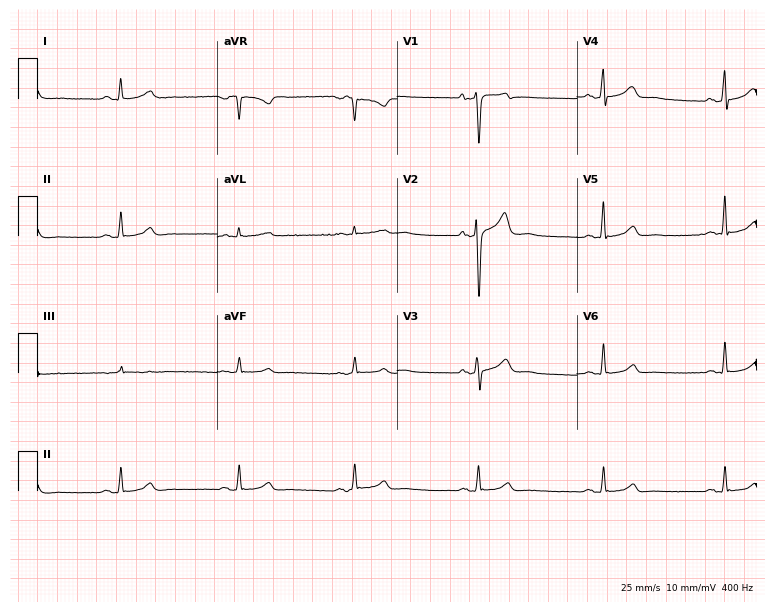
Resting 12-lead electrocardiogram (7.3-second recording at 400 Hz). Patient: a male, 53 years old. None of these six findings is recorded: first-degree AV block, right bundle branch block, left bundle branch block, sinus bradycardia, atrial fibrillation, sinus tachycardia.